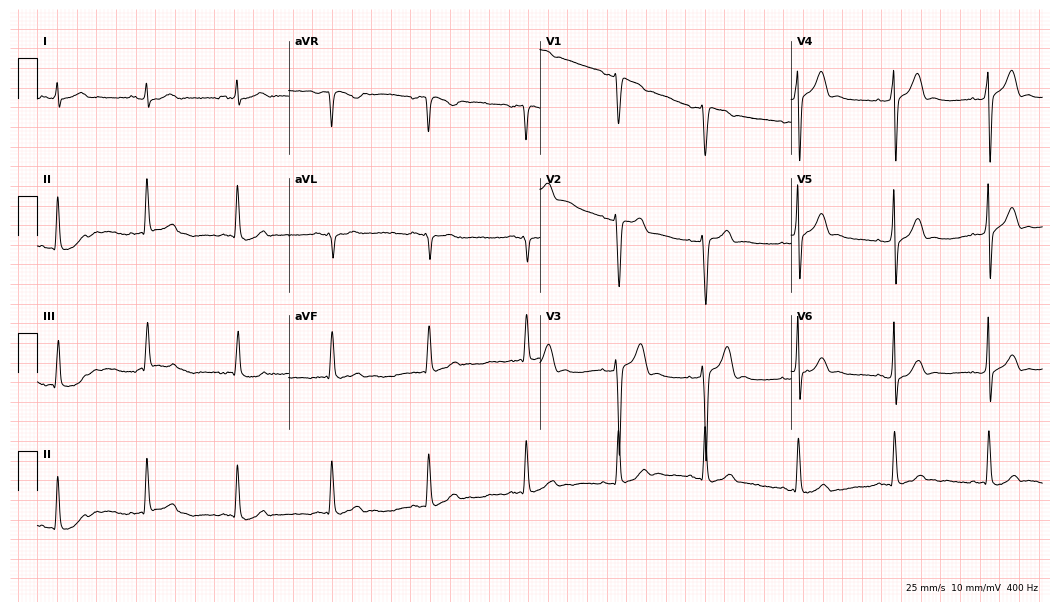
Resting 12-lead electrocardiogram (10.2-second recording at 400 Hz). Patient: a male, 36 years old. Read as a normal ECG.